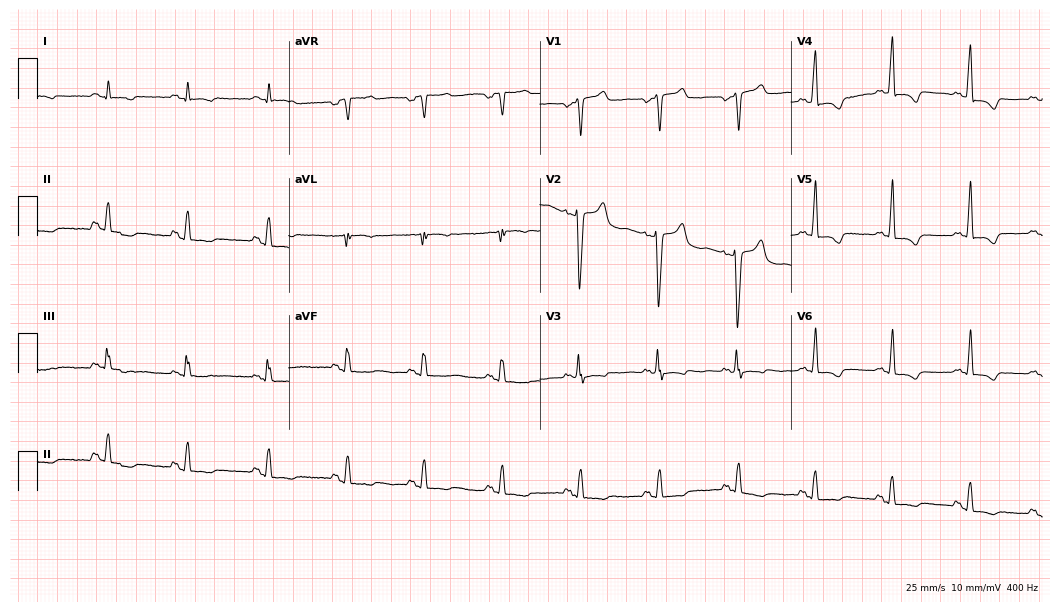
12-lead ECG from a male patient, 43 years old. Screened for six findings — first-degree AV block, right bundle branch block, left bundle branch block, sinus bradycardia, atrial fibrillation, sinus tachycardia — none is recorded.